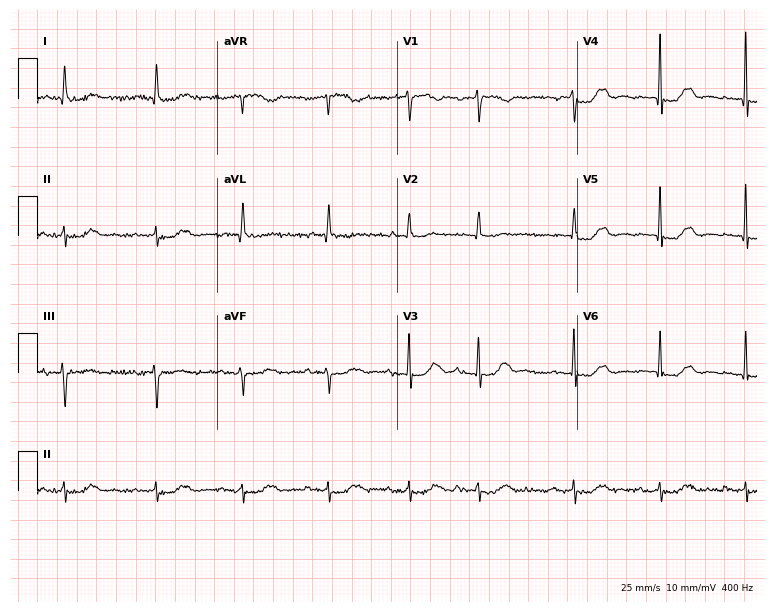
Resting 12-lead electrocardiogram (7.3-second recording at 400 Hz). Patient: a woman, 86 years old. Read as a normal ECG.